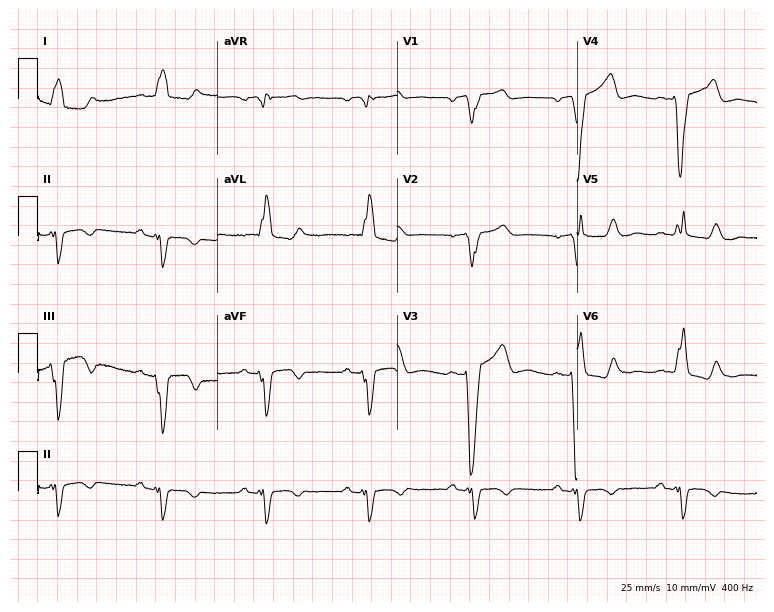
Electrocardiogram (7.3-second recording at 400 Hz), a man, 51 years old. Interpretation includes left bundle branch block.